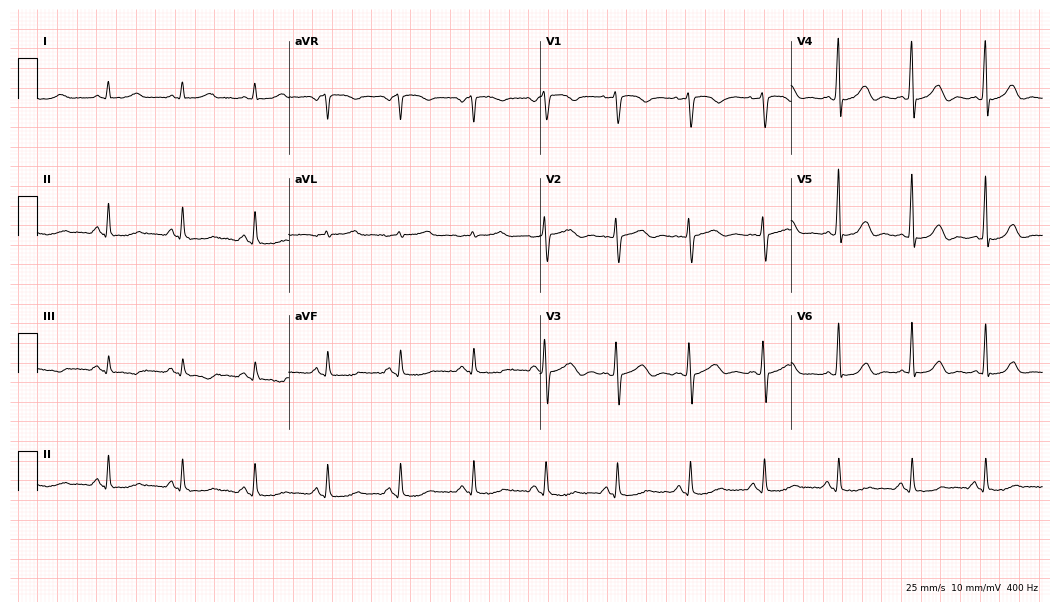
Standard 12-lead ECG recorded from a 79-year-old man (10.2-second recording at 400 Hz). Read as a normal ECG.